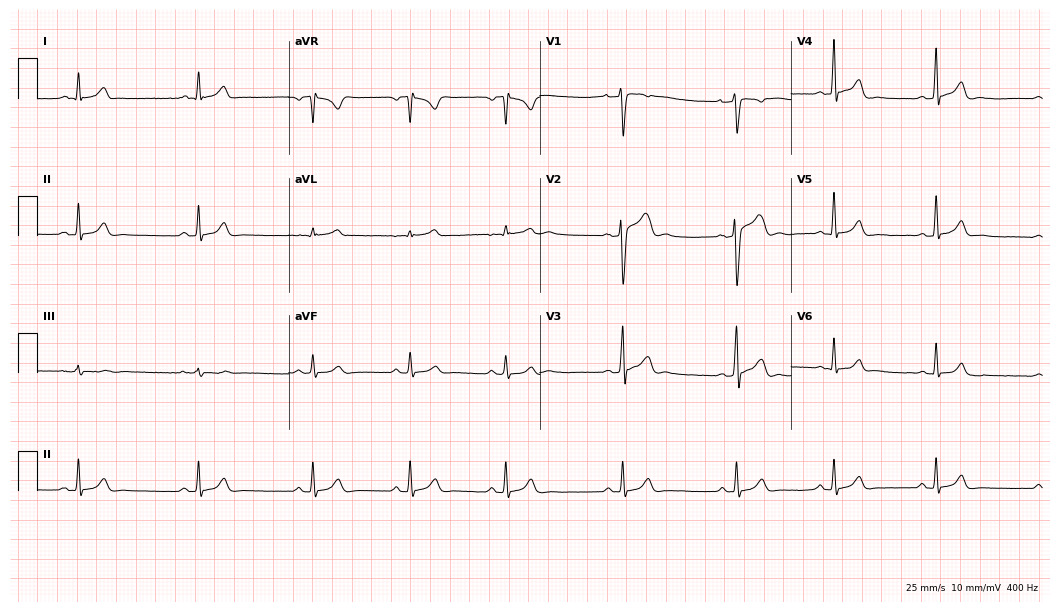
Standard 12-lead ECG recorded from a male patient, 31 years old. Read as a normal ECG.